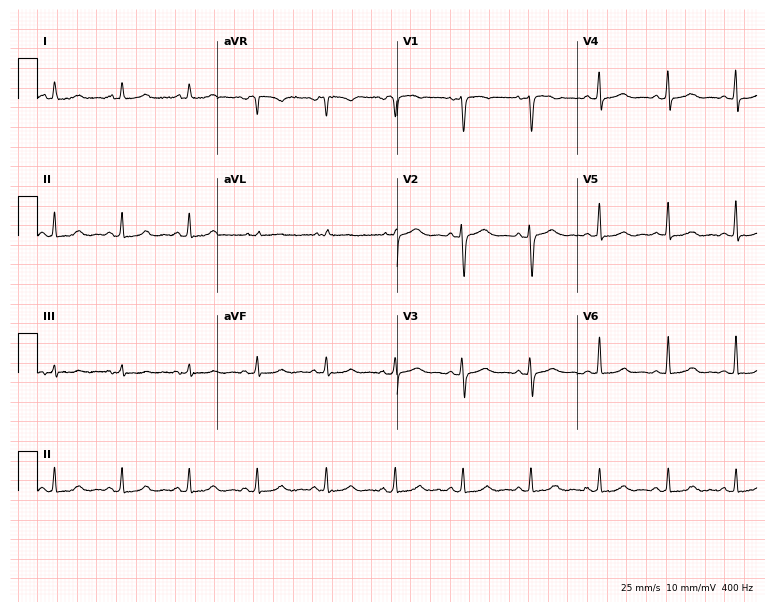
Resting 12-lead electrocardiogram (7.3-second recording at 400 Hz). Patient: a 49-year-old female. Read as a normal ECG.